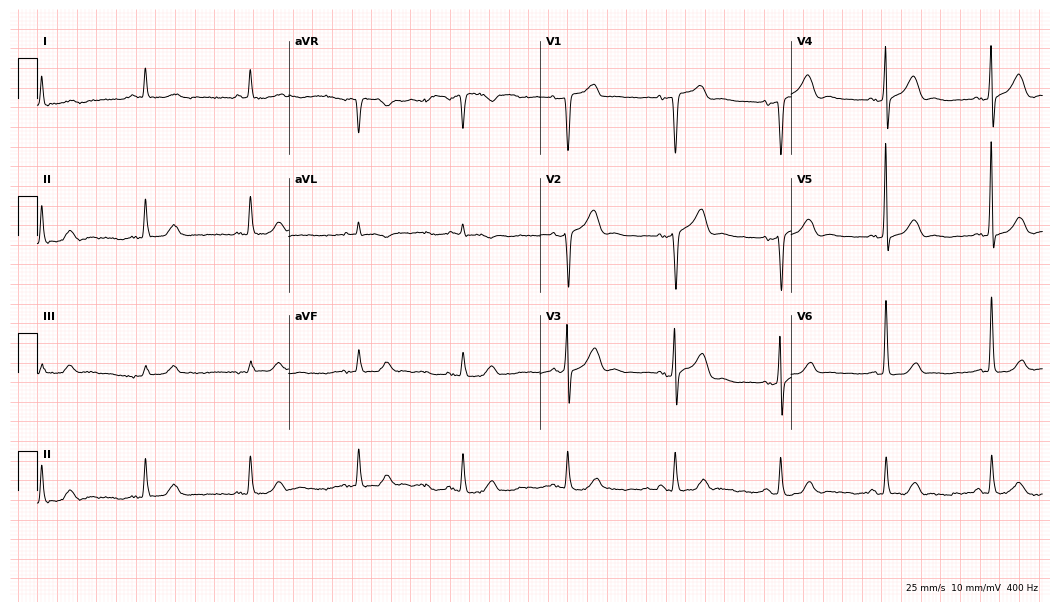
Standard 12-lead ECG recorded from an 81-year-old female (10.2-second recording at 400 Hz). None of these six findings is recorded: first-degree AV block, right bundle branch block, left bundle branch block, sinus bradycardia, atrial fibrillation, sinus tachycardia.